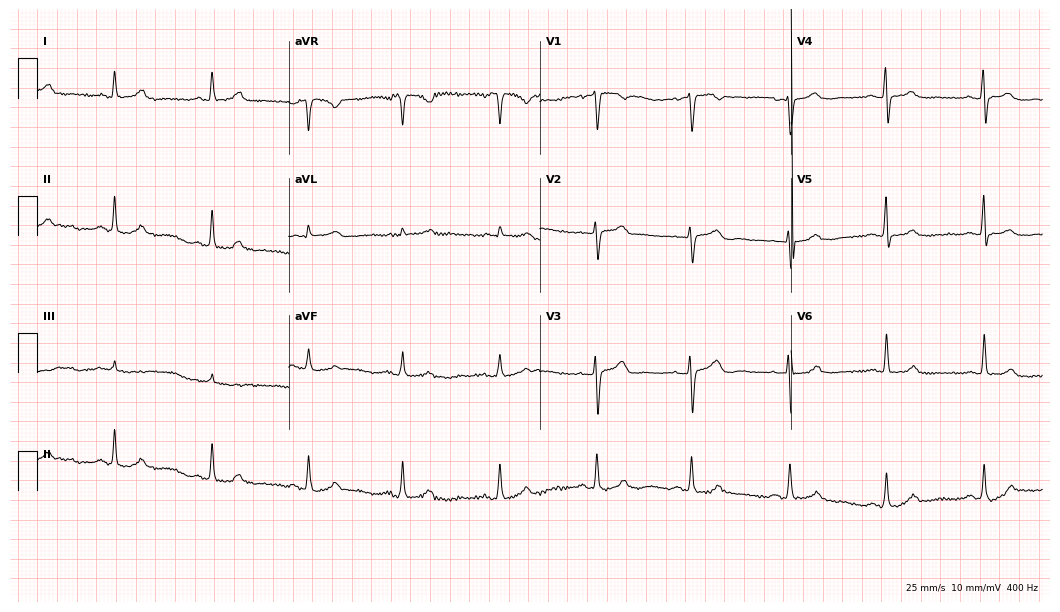
12-lead ECG from a woman, 51 years old. No first-degree AV block, right bundle branch block (RBBB), left bundle branch block (LBBB), sinus bradycardia, atrial fibrillation (AF) or sinus tachycardia recorded for this tracing. Only these six findings were labelled.